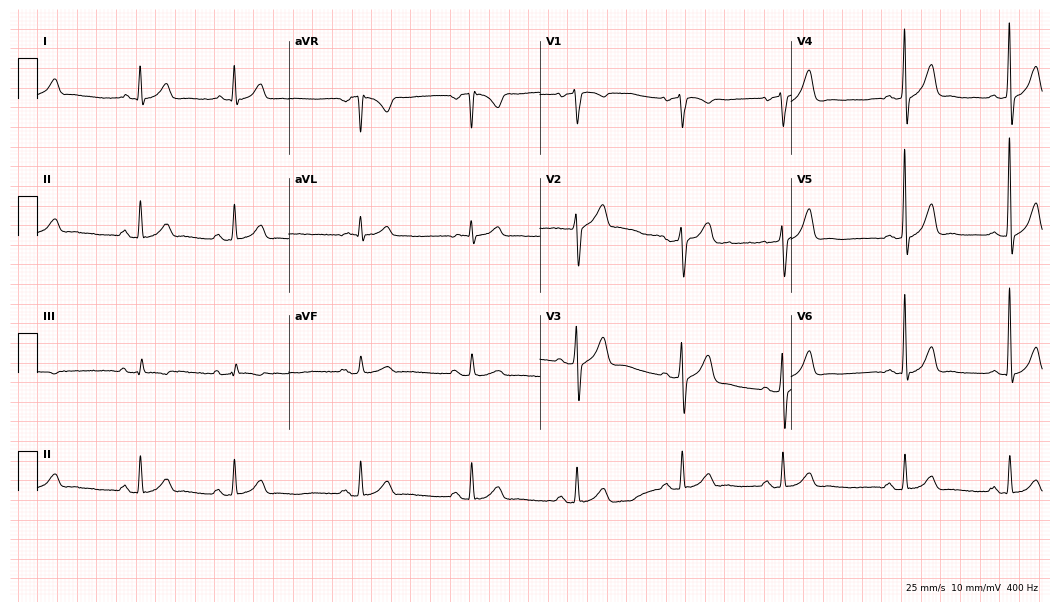
Resting 12-lead electrocardiogram. Patient: a 58-year-old male. Read as a normal ECG.